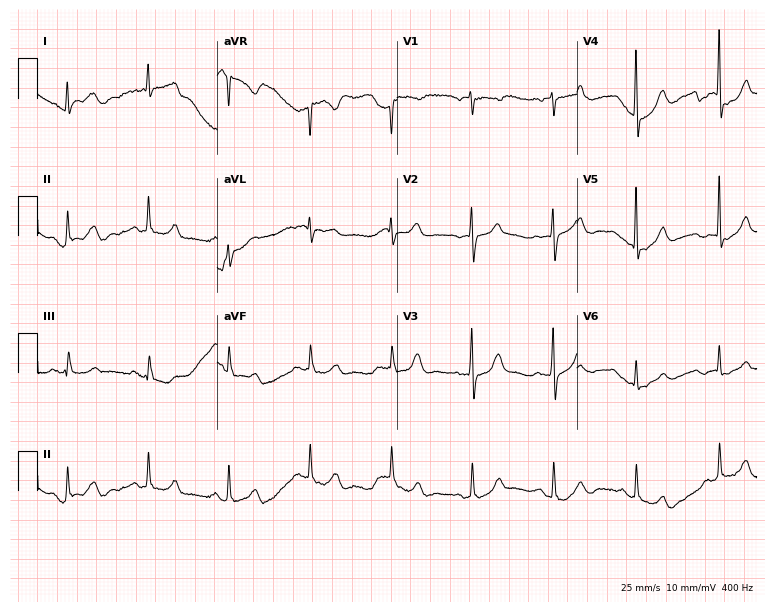
ECG (7.3-second recording at 400 Hz) — a male patient, 60 years old. Labelled as a normal ECG.